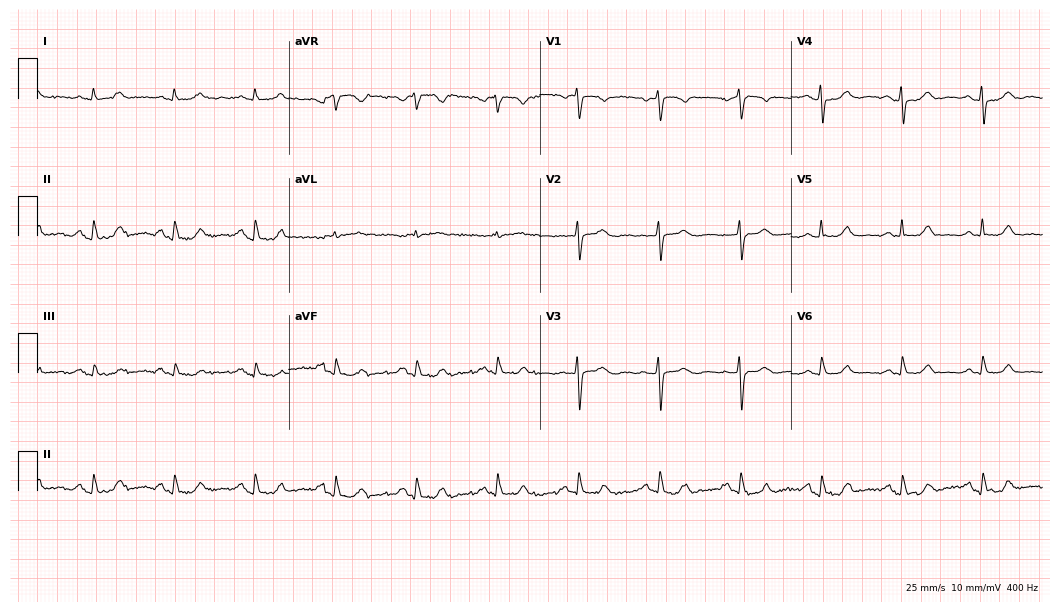
Standard 12-lead ECG recorded from a 67-year-old woman. None of these six findings is recorded: first-degree AV block, right bundle branch block (RBBB), left bundle branch block (LBBB), sinus bradycardia, atrial fibrillation (AF), sinus tachycardia. Other findings, if any, are not listed.